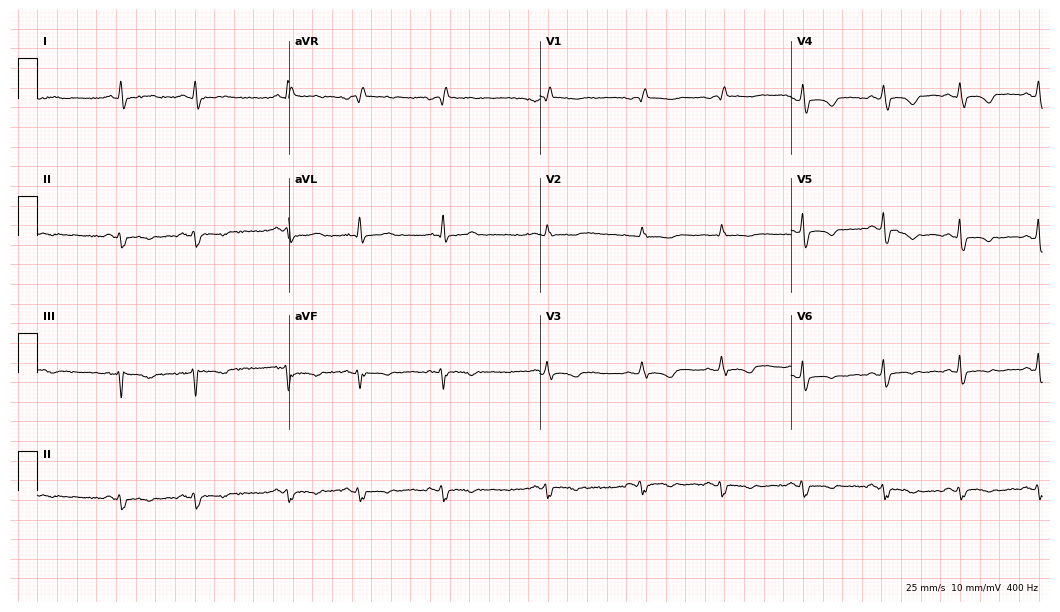
12-lead ECG from a male, 60 years old (10.2-second recording at 400 Hz). Shows right bundle branch block.